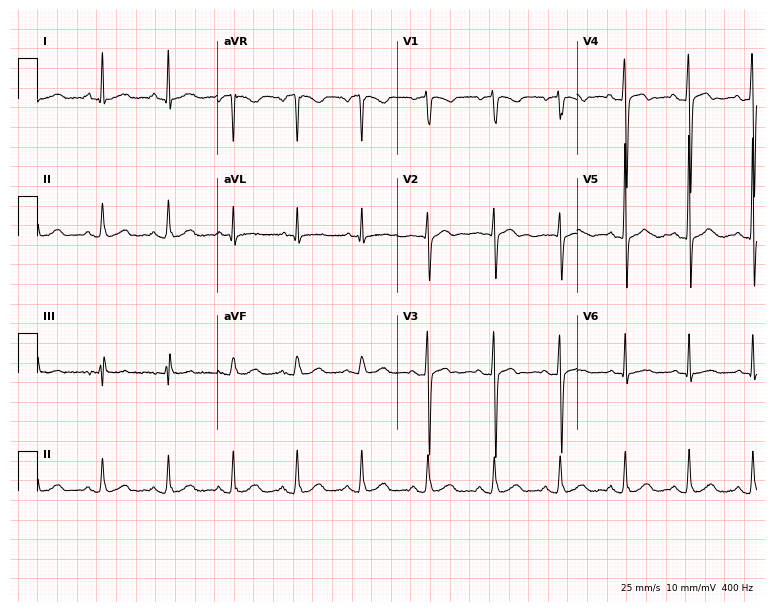
Electrocardiogram (7.3-second recording at 400 Hz), a female patient, 63 years old. Of the six screened findings (first-degree AV block, right bundle branch block (RBBB), left bundle branch block (LBBB), sinus bradycardia, atrial fibrillation (AF), sinus tachycardia), none is recorded. Only these six findings were labelled.